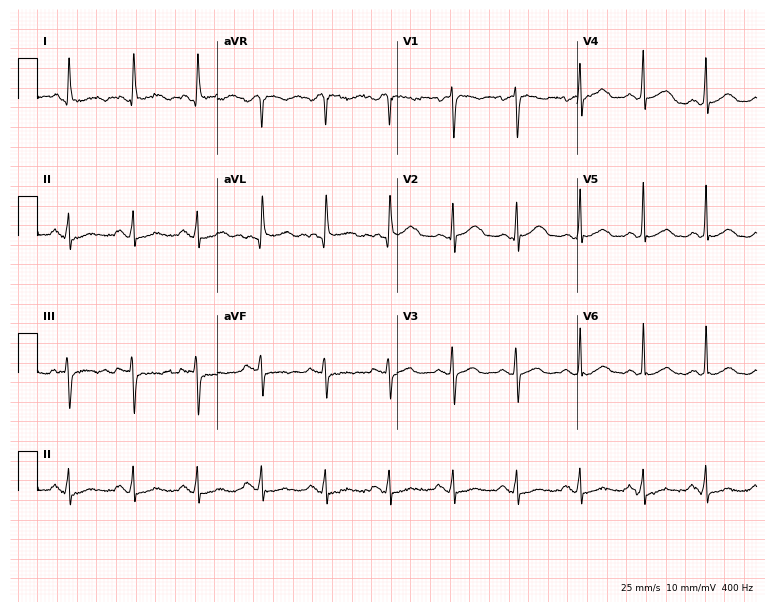
ECG — a 73-year-old woman. Screened for six findings — first-degree AV block, right bundle branch block (RBBB), left bundle branch block (LBBB), sinus bradycardia, atrial fibrillation (AF), sinus tachycardia — none is recorded.